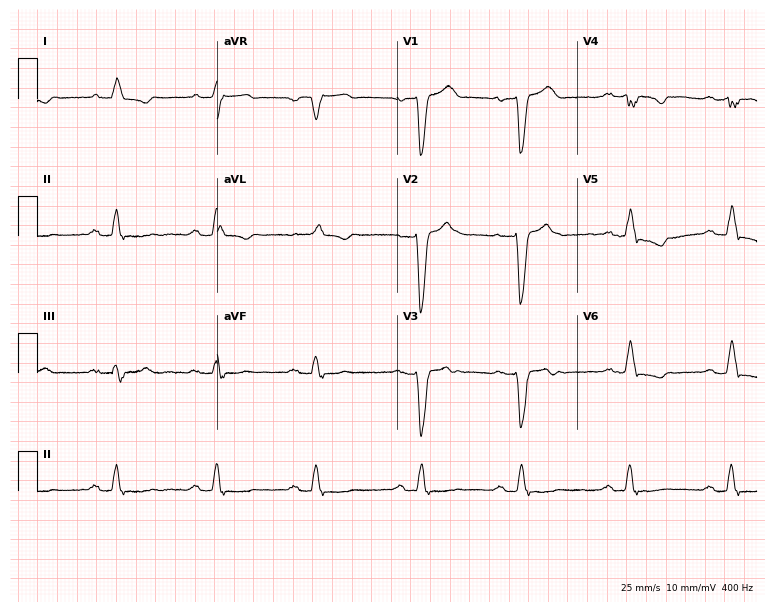
12-lead ECG from a male patient, 84 years old. Findings include left bundle branch block.